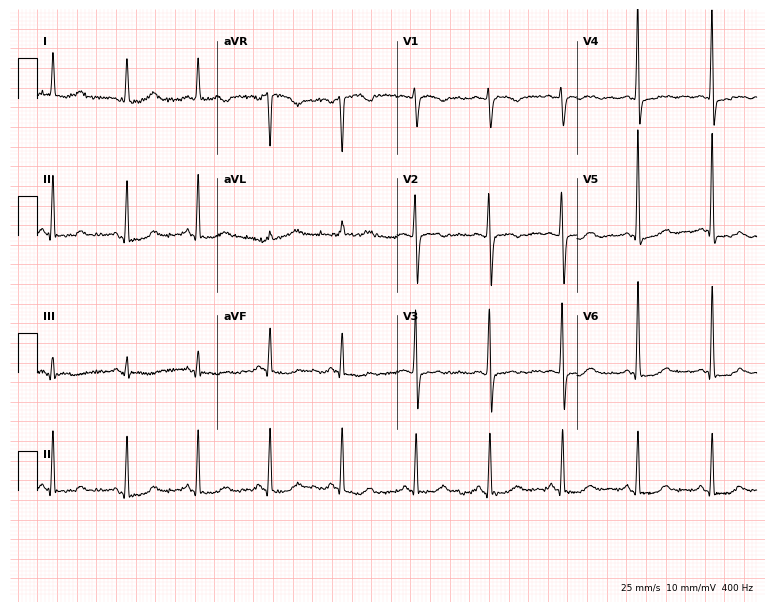
Resting 12-lead electrocardiogram (7.3-second recording at 400 Hz). Patient: a 54-year-old female. None of these six findings is recorded: first-degree AV block, right bundle branch block, left bundle branch block, sinus bradycardia, atrial fibrillation, sinus tachycardia. Only these six findings were labelled.